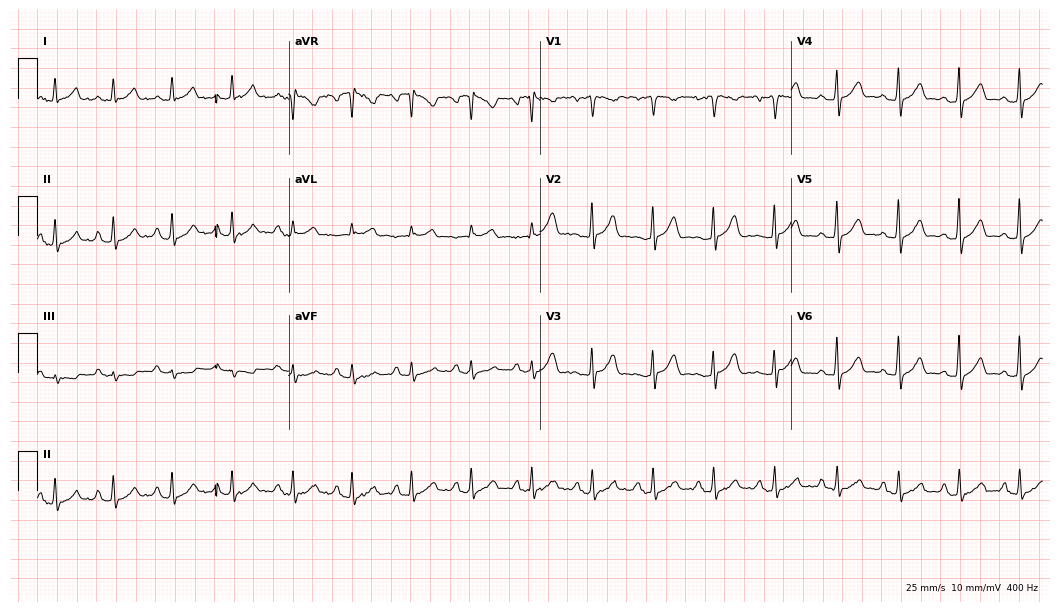
Electrocardiogram (10.2-second recording at 400 Hz), a 45-year-old female patient. Overall reading on record: normal ECG.